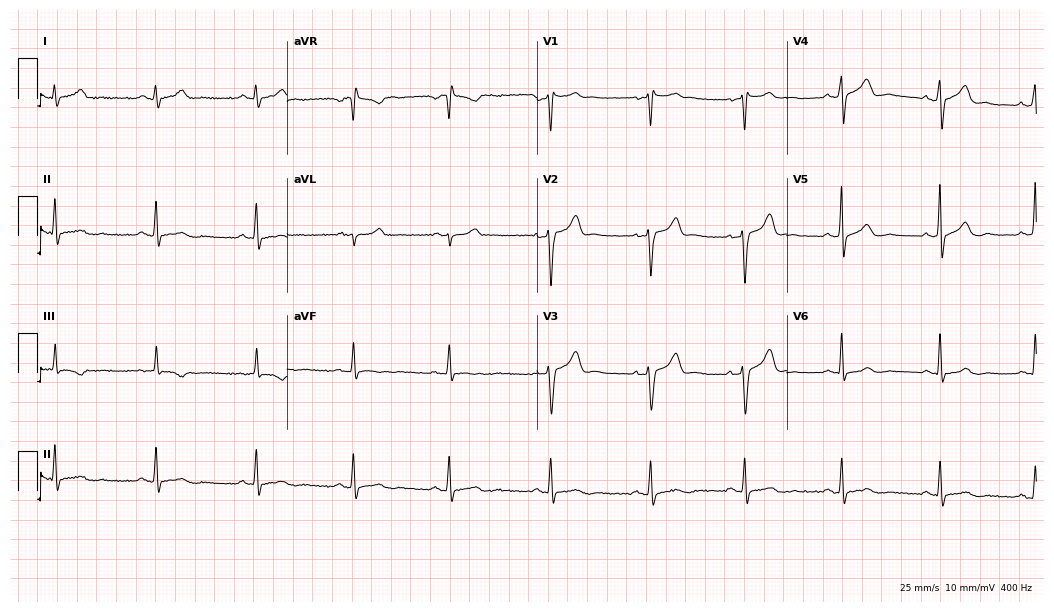
12-lead ECG from a male, 48 years old. Recorded interpretation: within normal limits.